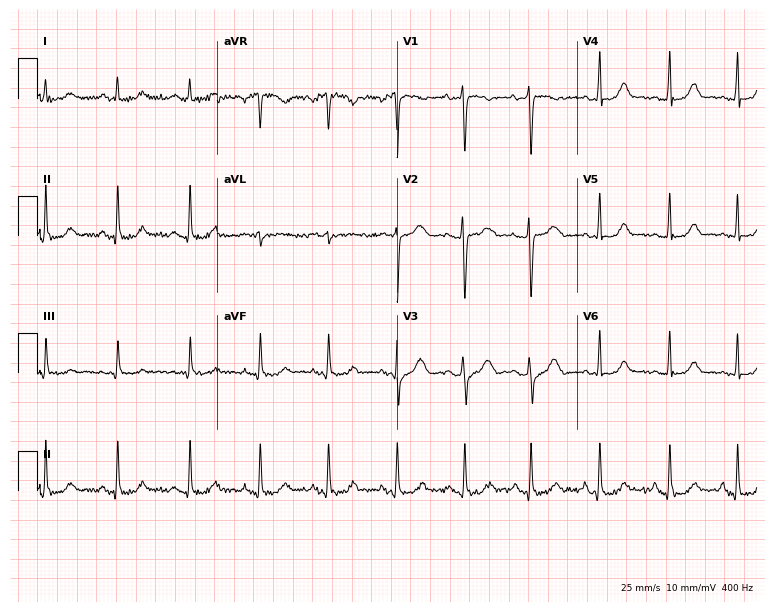
12-lead ECG (7.3-second recording at 400 Hz) from a woman, 23 years old. Screened for six findings — first-degree AV block, right bundle branch block, left bundle branch block, sinus bradycardia, atrial fibrillation, sinus tachycardia — none is recorded.